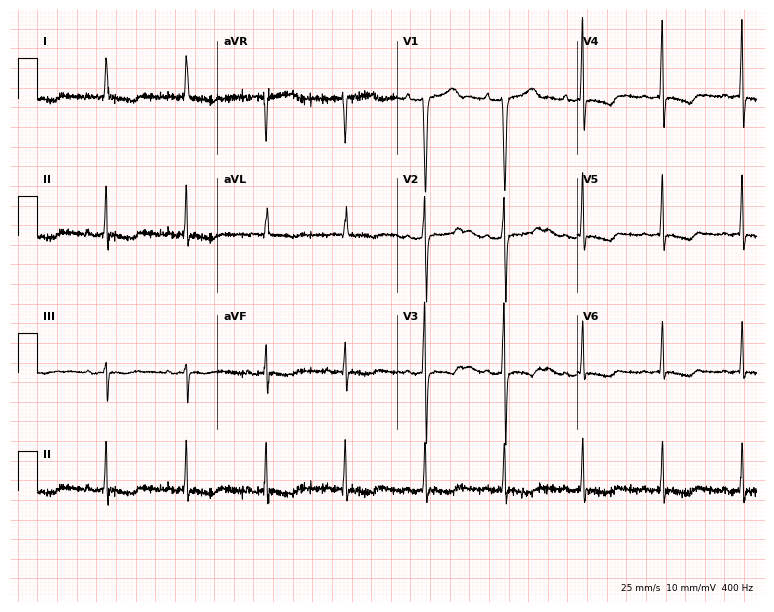
Standard 12-lead ECG recorded from an 85-year-old man (7.3-second recording at 400 Hz). None of these six findings is recorded: first-degree AV block, right bundle branch block (RBBB), left bundle branch block (LBBB), sinus bradycardia, atrial fibrillation (AF), sinus tachycardia. Findings outside these six are not listed.